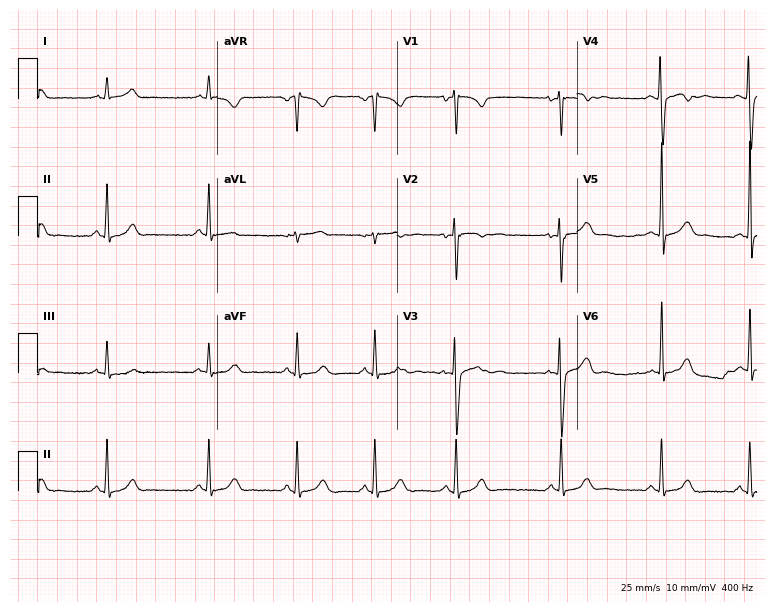
Standard 12-lead ECG recorded from a woman, 22 years old. Read as a normal ECG.